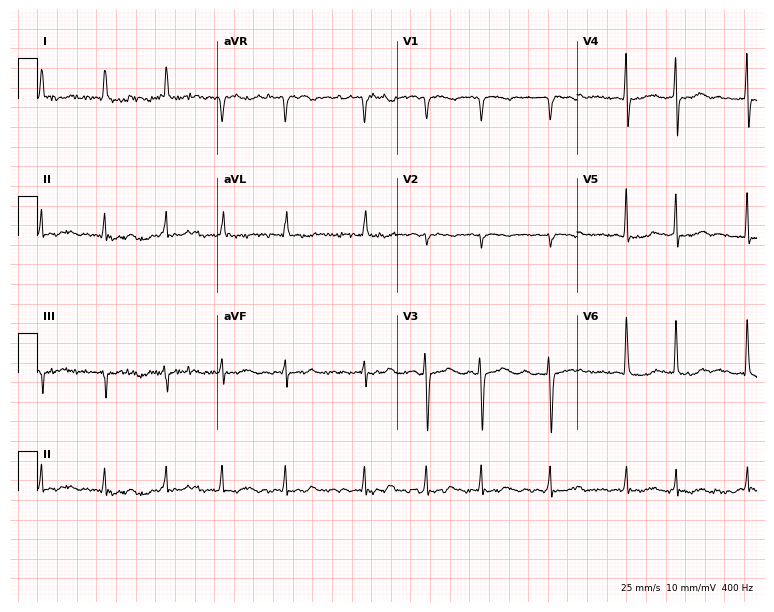
12-lead ECG from a female, 74 years old. Shows atrial fibrillation.